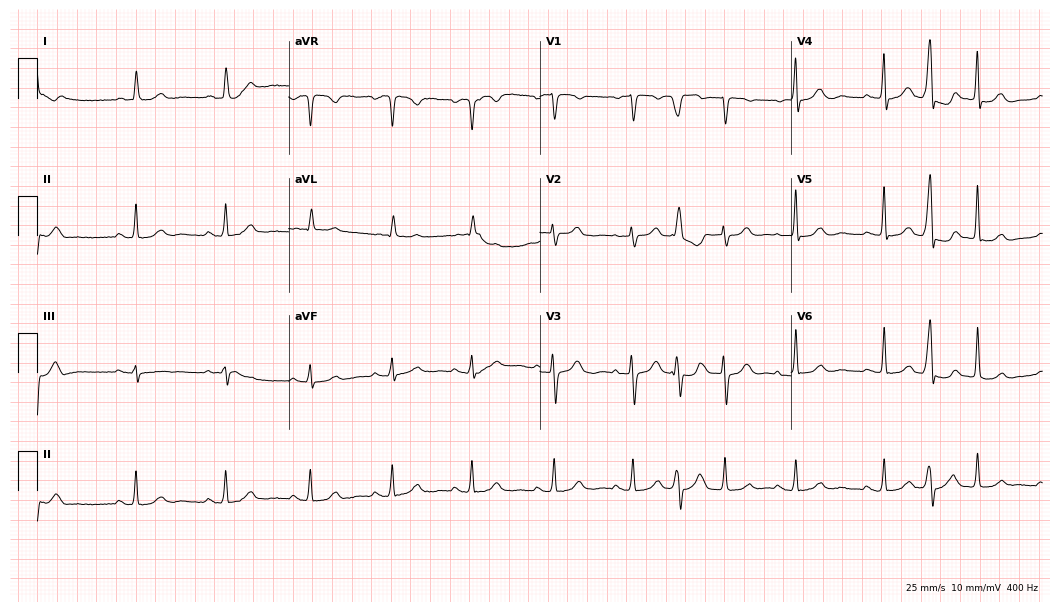
12-lead ECG from a woman, 83 years old. No first-degree AV block, right bundle branch block (RBBB), left bundle branch block (LBBB), sinus bradycardia, atrial fibrillation (AF) or sinus tachycardia recorded for this tracing.